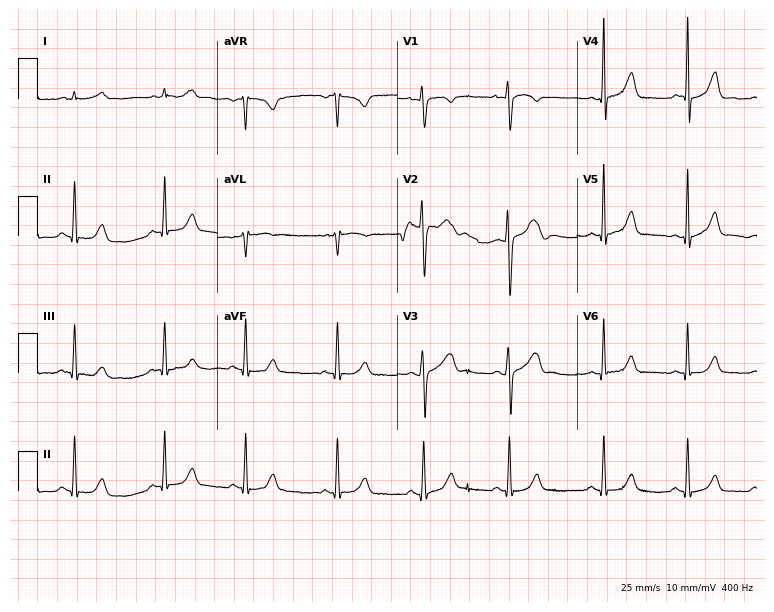
Electrocardiogram (7.3-second recording at 400 Hz), a woman, 27 years old. Of the six screened findings (first-degree AV block, right bundle branch block, left bundle branch block, sinus bradycardia, atrial fibrillation, sinus tachycardia), none is recorded.